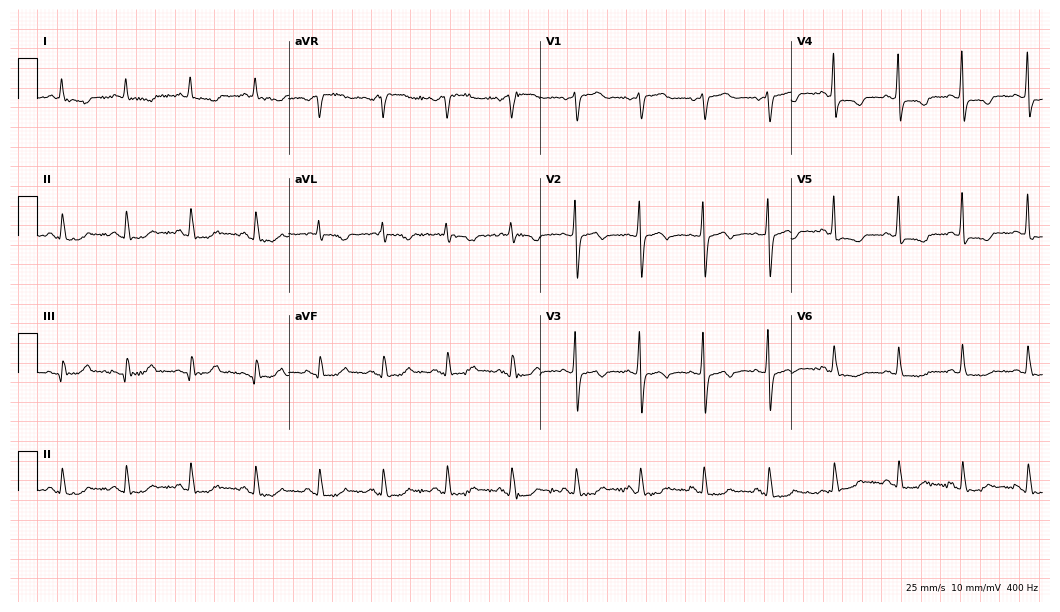
12-lead ECG (10.2-second recording at 400 Hz) from an 81-year-old woman. Screened for six findings — first-degree AV block, right bundle branch block, left bundle branch block, sinus bradycardia, atrial fibrillation, sinus tachycardia — none is recorded.